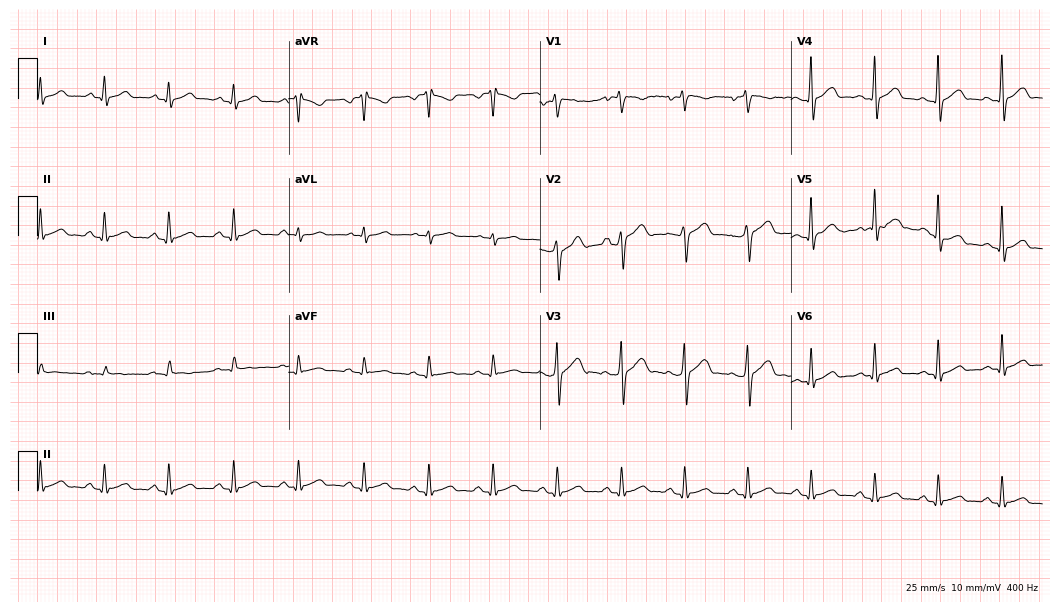
12-lead ECG (10.2-second recording at 400 Hz) from a 33-year-old male. Labelled as a normal ECG.